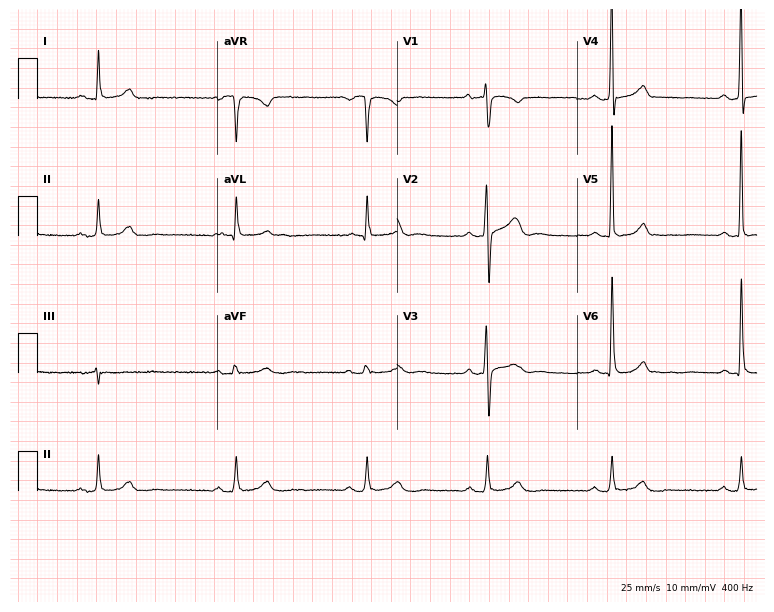
ECG (7.3-second recording at 400 Hz) — a female, 67 years old. Screened for six findings — first-degree AV block, right bundle branch block, left bundle branch block, sinus bradycardia, atrial fibrillation, sinus tachycardia — none is recorded. Only these six findings were labelled.